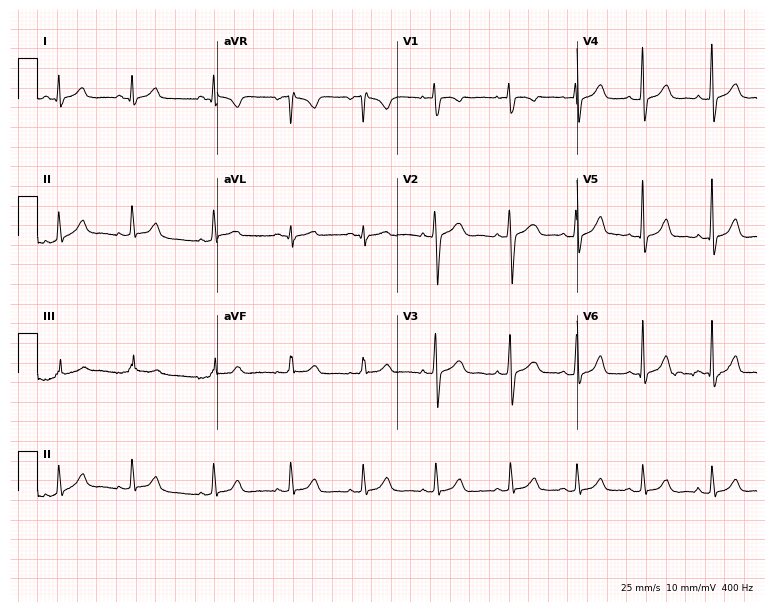
Standard 12-lead ECG recorded from a 24-year-old woman (7.3-second recording at 400 Hz). Read as a normal ECG.